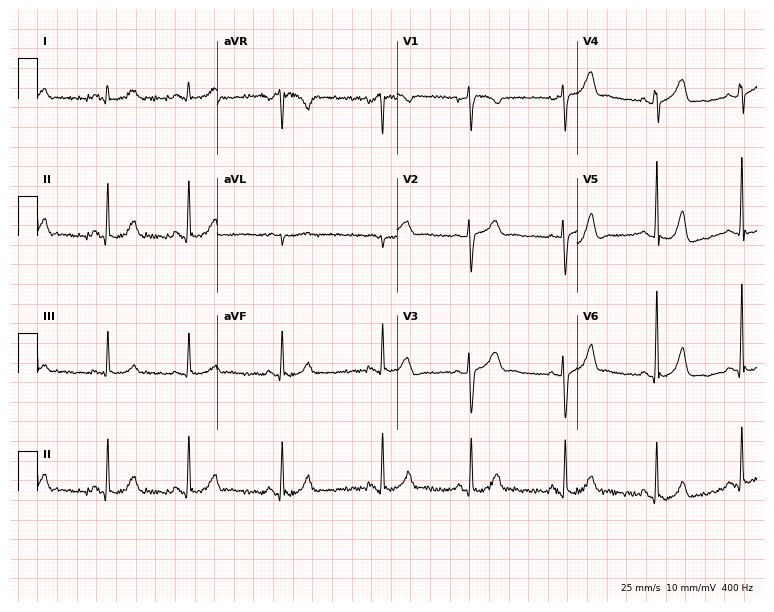
ECG (7.3-second recording at 400 Hz) — a 31-year-old female patient. Labelled as a normal ECG.